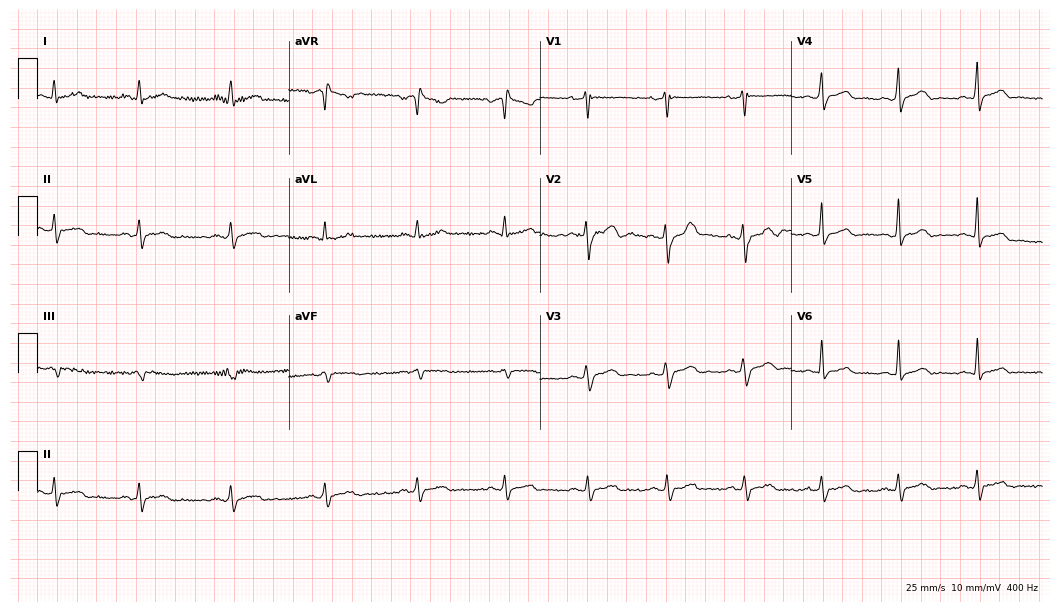
12-lead ECG from a male patient, 31 years old. Screened for six findings — first-degree AV block, right bundle branch block (RBBB), left bundle branch block (LBBB), sinus bradycardia, atrial fibrillation (AF), sinus tachycardia — none is recorded.